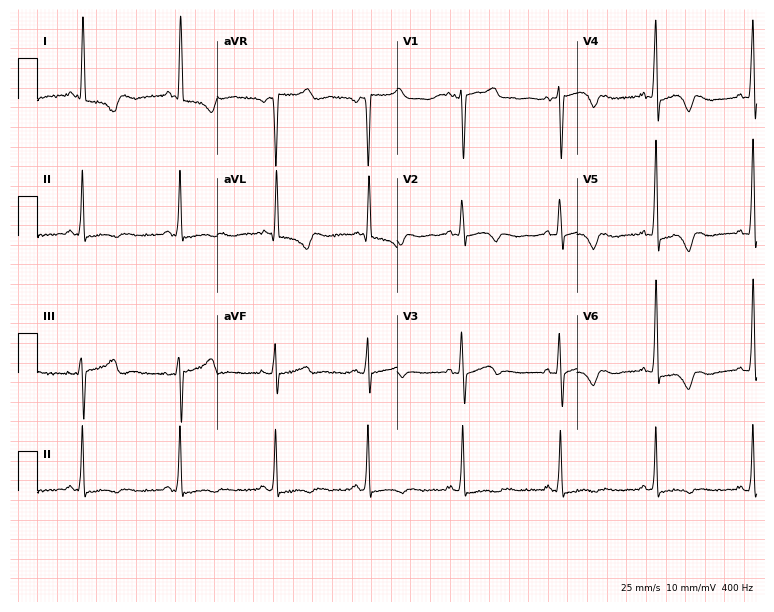
Electrocardiogram (7.3-second recording at 400 Hz), a 51-year-old woman. Of the six screened findings (first-degree AV block, right bundle branch block, left bundle branch block, sinus bradycardia, atrial fibrillation, sinus tachycardia), none is recorded.